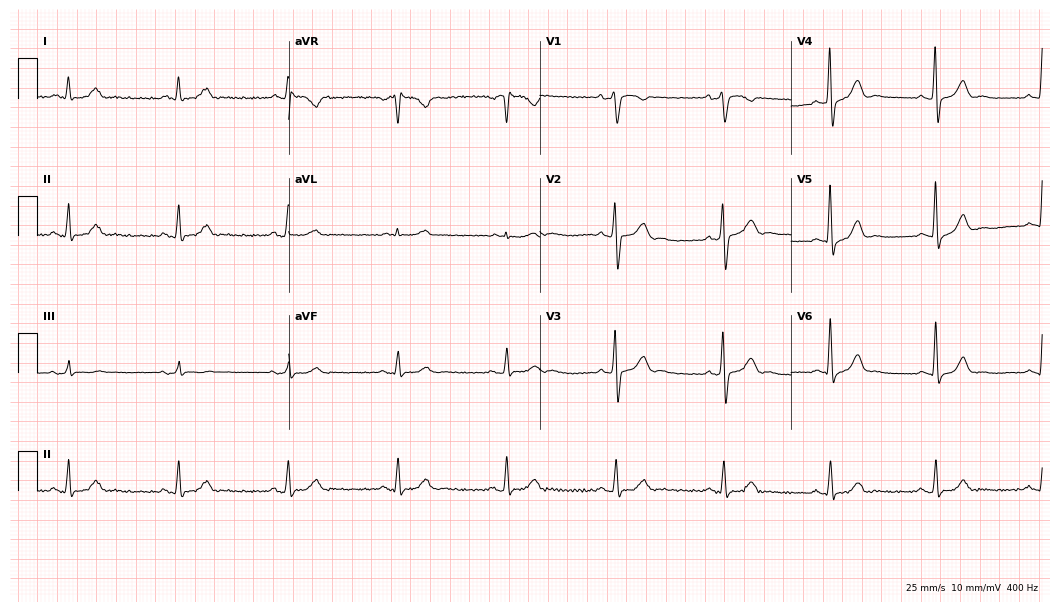
Standard 12-lead ECG recorded from a 64-year-old man. None of these six findings is recorded: first-degree AV block, right bundle branch block (RBBB), left bundle branch block (LBBB), sinus bradycardia, atrial fibrillation (AF), sinus tachycardia. Findings outside these six are not listed.